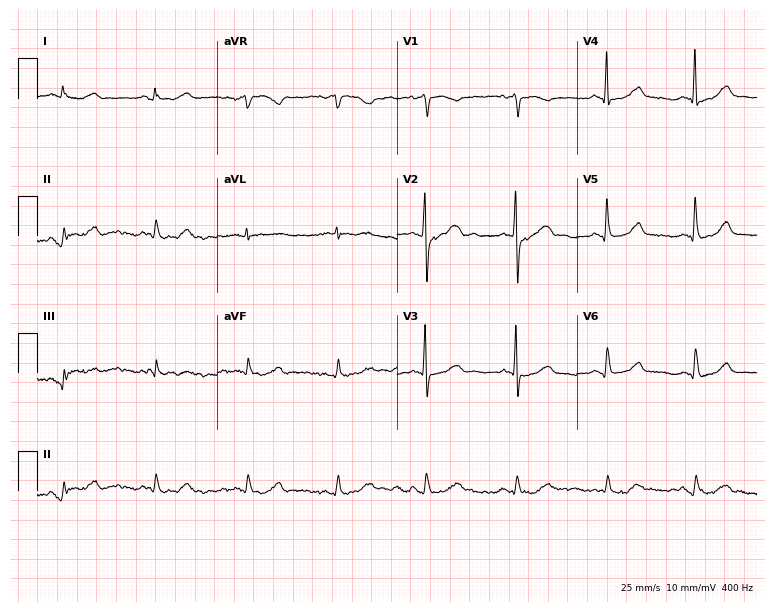
Electrocardiogram, an 80-year-old male patient. Overall reading on record: normal ECG.